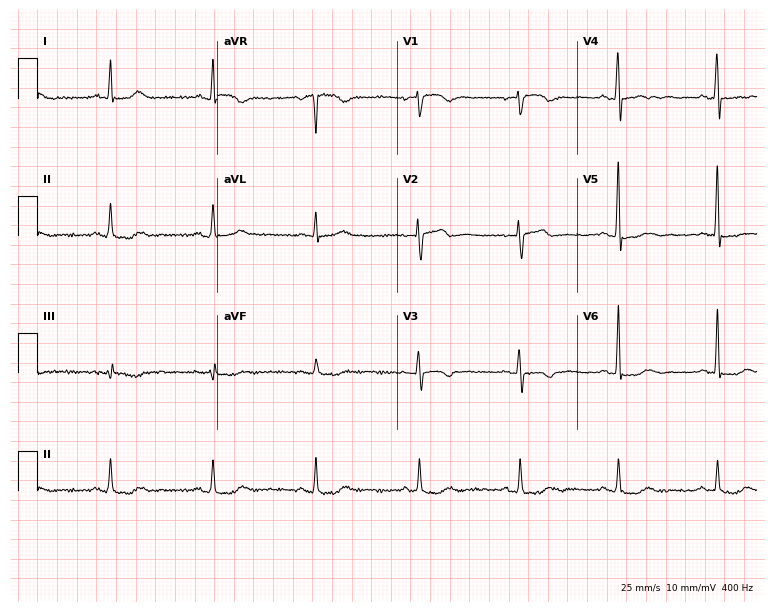
12-lead ECG from a female, 52 years old. No first-degree AV block, right bundle branch block, left bundle branch block, sinus bradycardia, atrial fibrillation or sinus tachycardia recorded for this tracing. Findings outside these six are not listed.